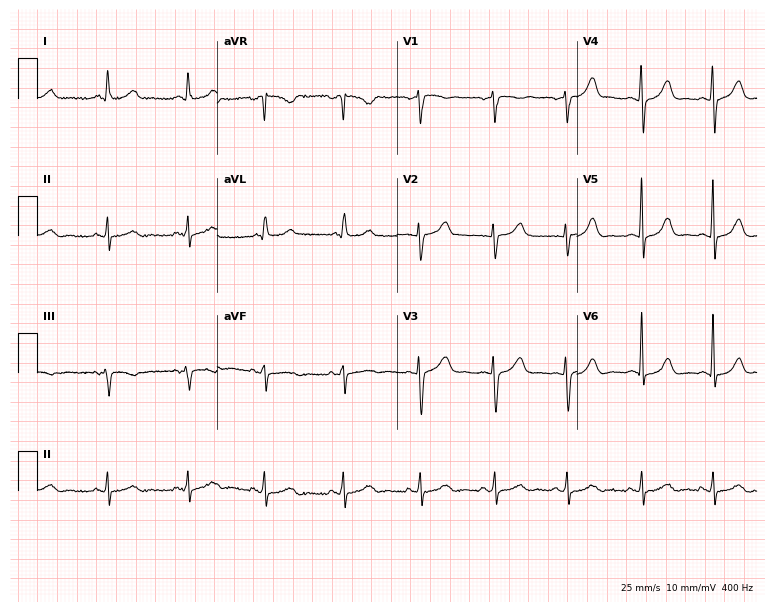
ECG — a 51-year-old female patient. Labelled as a normal ECG.